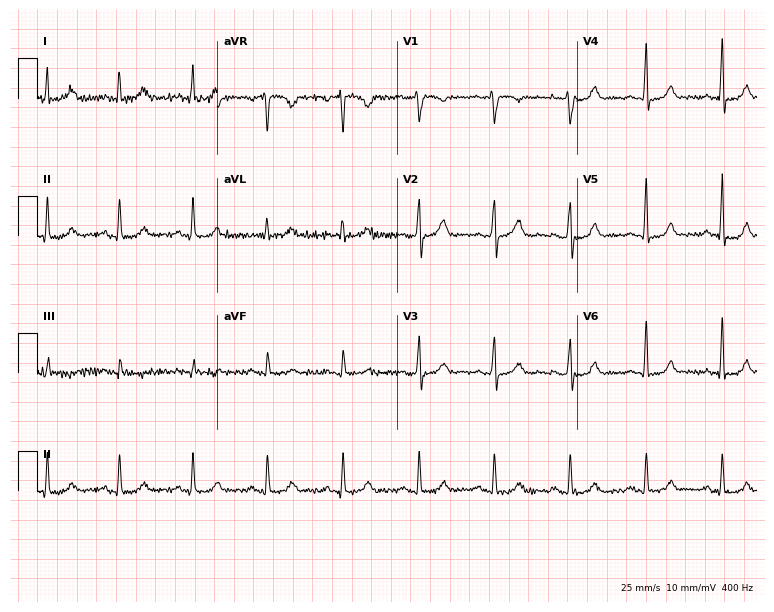
ECG (7.3-second recording at 400 Hz) — a female patient, 50 years old. Labelled as a normal ECG.